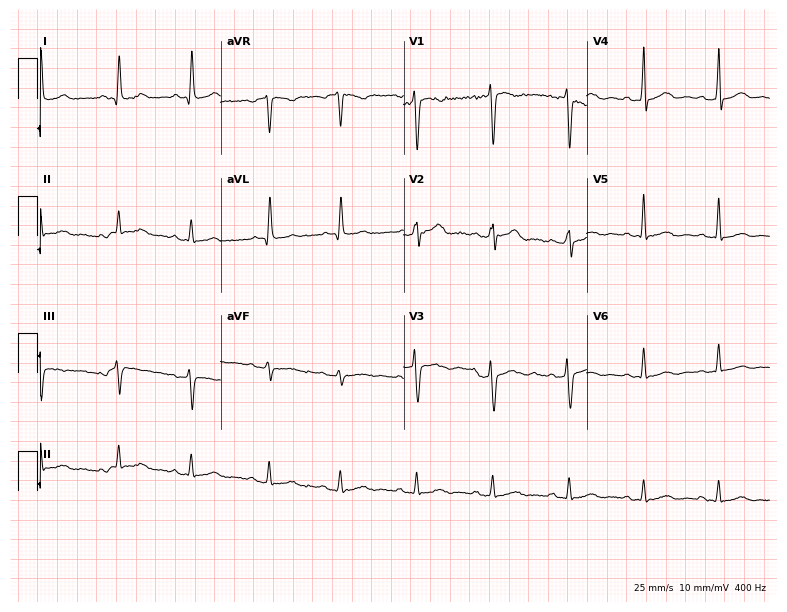
Resting 12-lead electrocardiogram (7.5-second recording at 400 Hz). Patient: a 44-year-old male. None of these six findings is recorded: first-degree AV block, right bundle branch block, left bundle branch block, sinus bradycardia, atrial fibrillation, sinus tachycardia. Only these six findings were labelled.